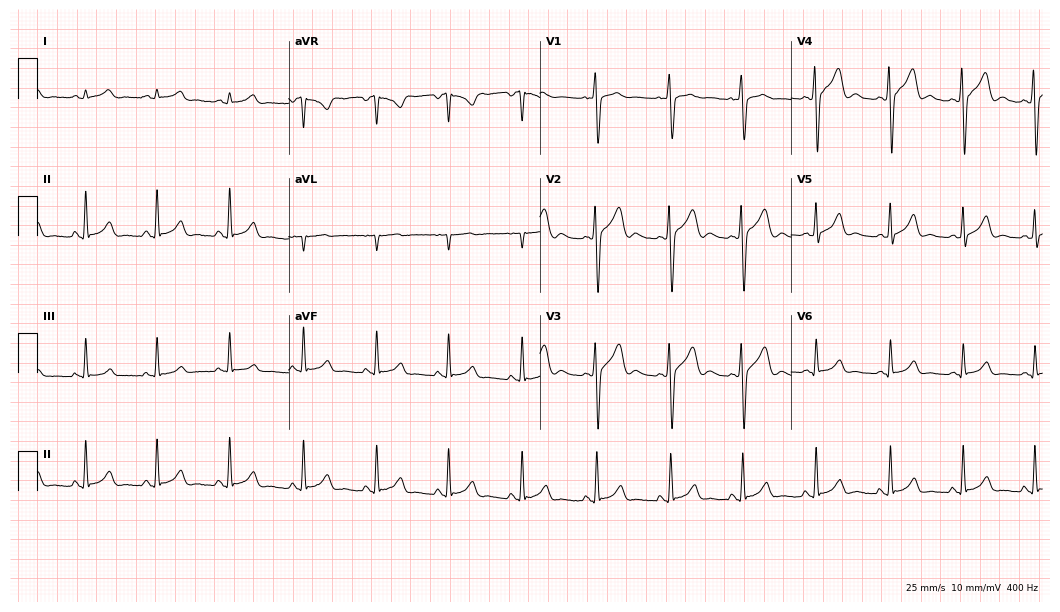
12-lead ECG from a 20-year-old male (10.2-second recording at 400 Hz). Recorded interpretation: within normal limits.